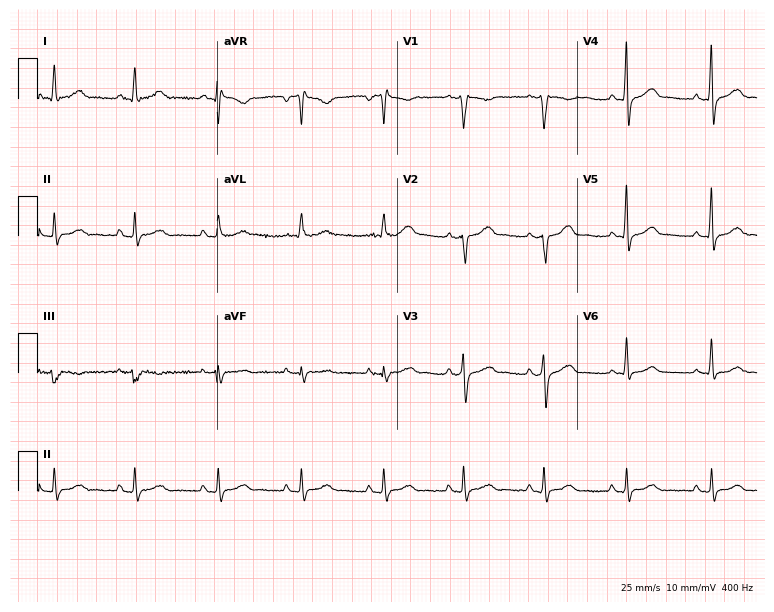
ECG (7.3-second recording at 400 Hz) — a man, 48 years old. Labelled as a normal ECG.